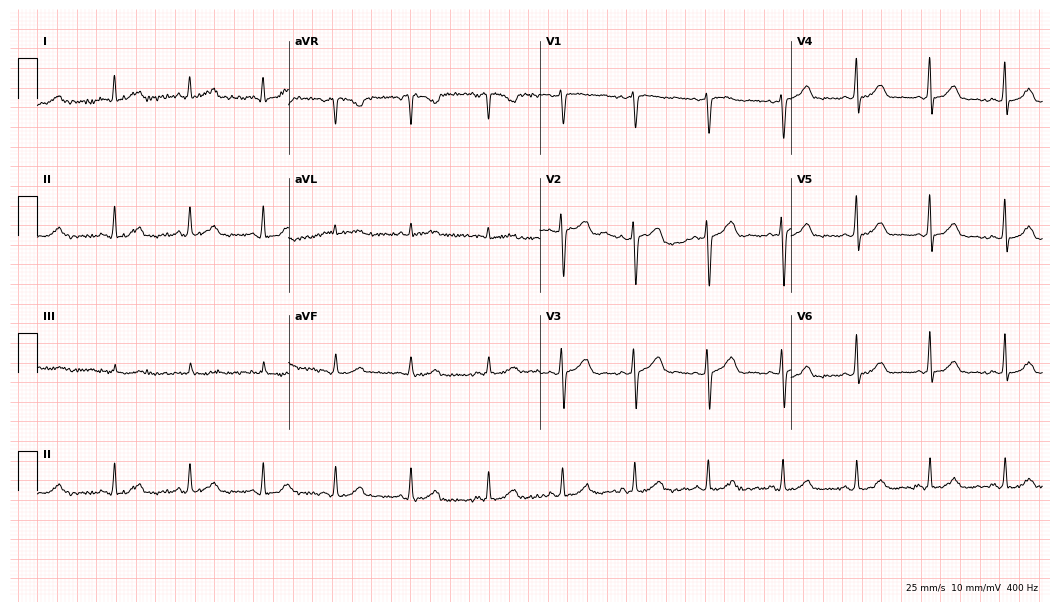
Standard 12-lead ECG recorded from a female patient, 36 years old. None of these six findings is recorded: first-degree AV block, right bundle branch block (RBBB), left bundle branch block (LBBB), sinus bradycardia, atrial fibrillation (AF), sinus tachycardia.